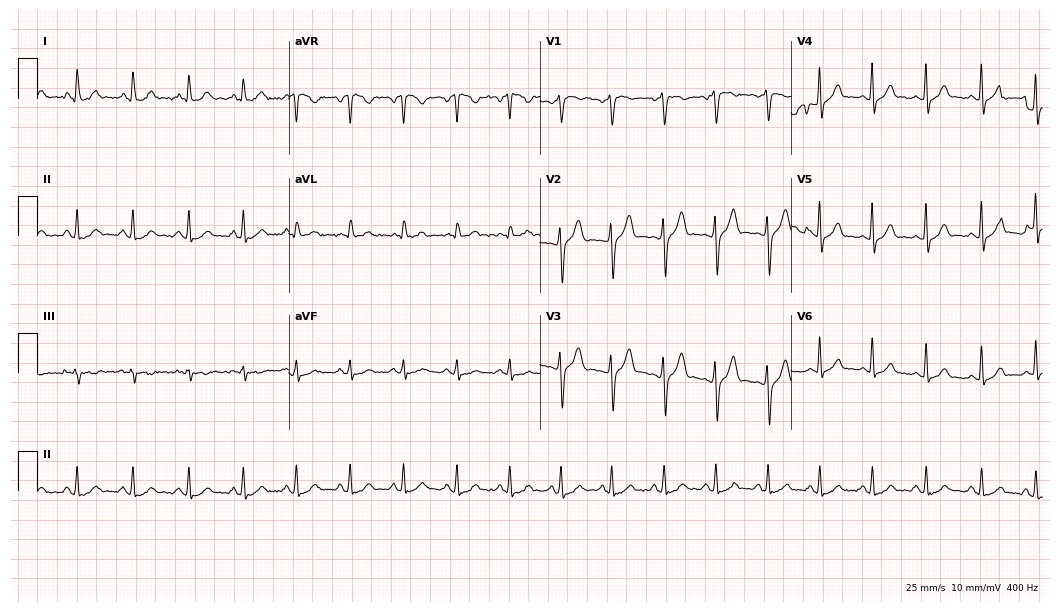
12-lead ECG from a 26-year-old man. Shows sinus tachycardia (a sinus rate of 100 beats per minute or more).